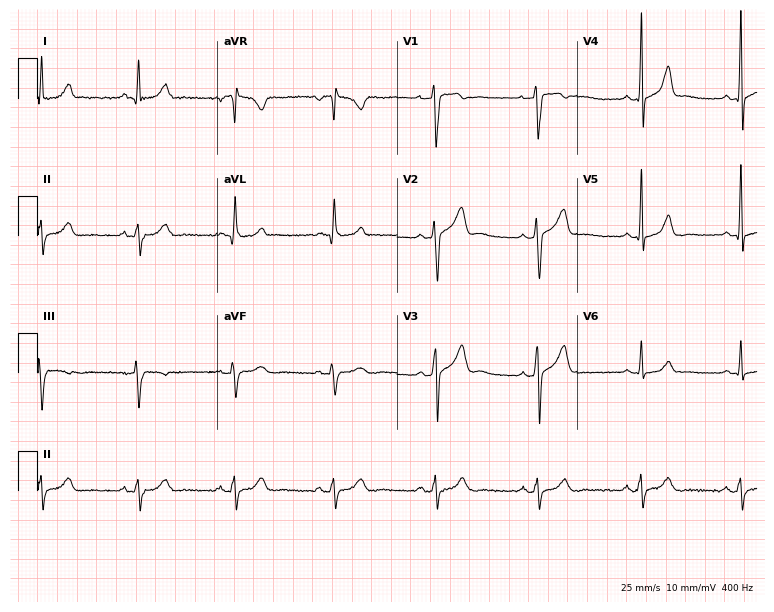
12-lead ECG from a 46-year-old male patient. Screened for six findings — first-degree AV block, right bundle branch block, left bundle branch block, sinus bradycardia, atrial fibrillation, sinus tachycardia — none is recorded. Findings outside these six are not listed.